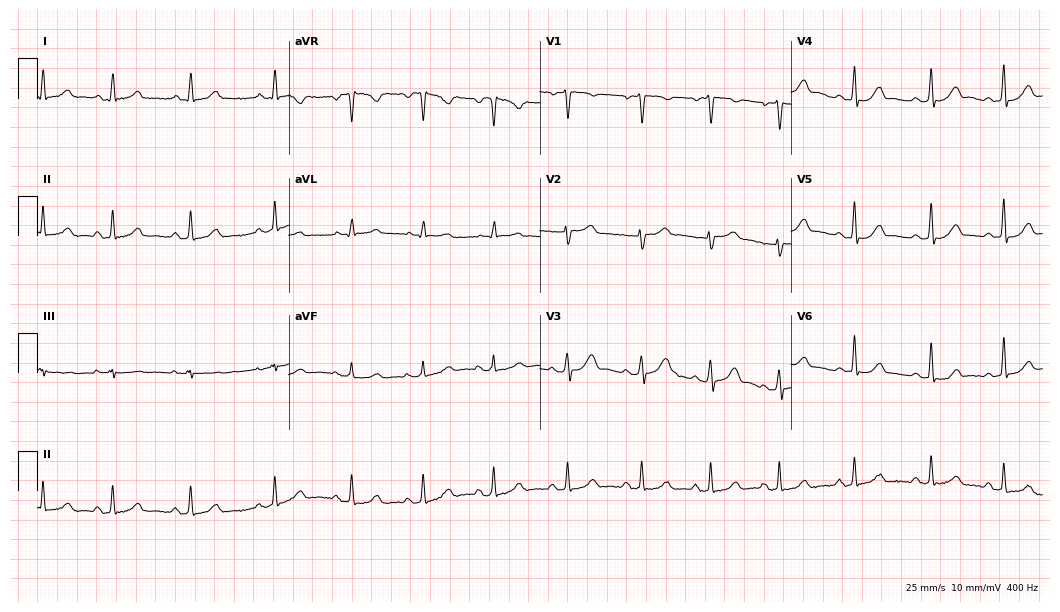
Resting 12-lead electrocardiogram. Patient: a female, 35 years old. Read as a normal ECG.